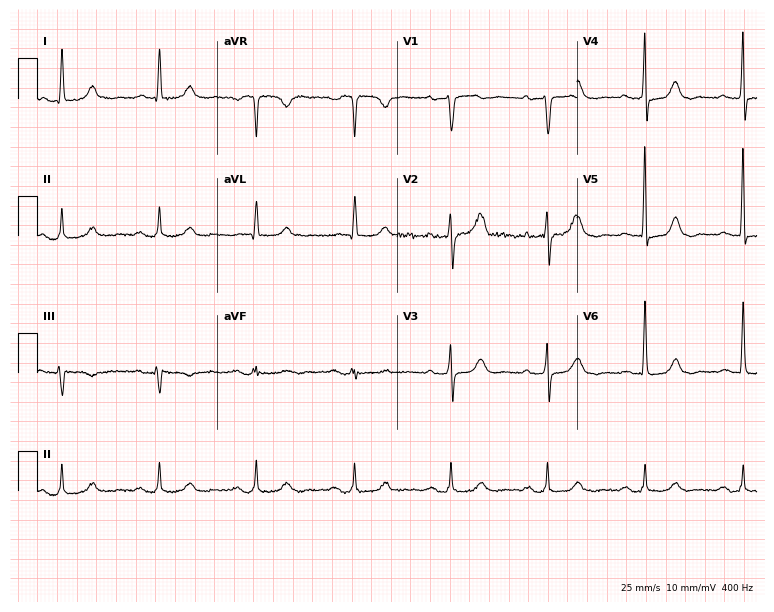
Resting 12-lead electrocardiogram (7.3-second recording at 400 Hz). Patient: a woman, 81 years old. The tracing shows first-degree AV block.